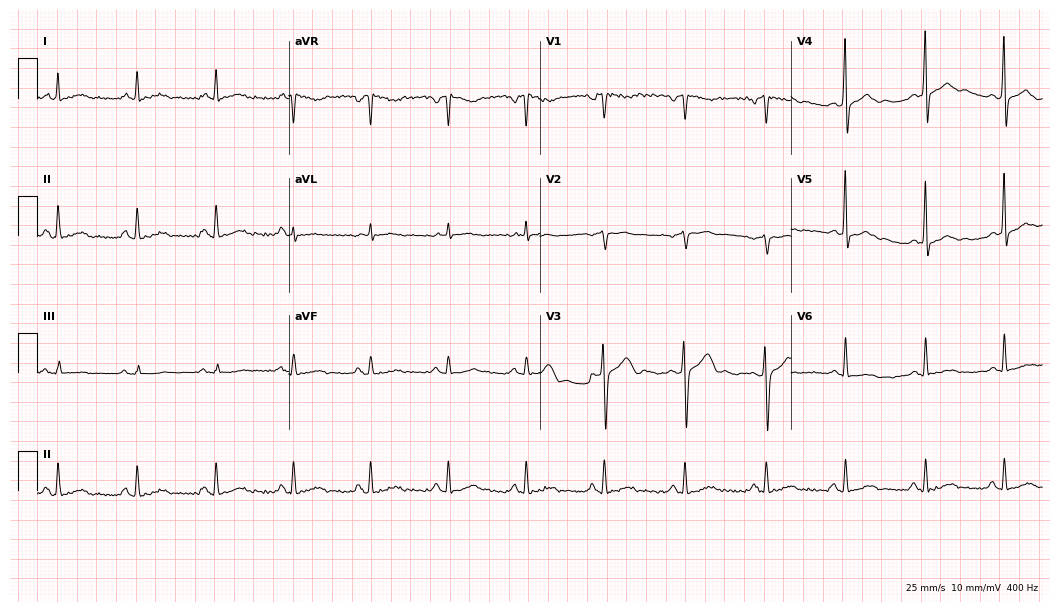
12-lead ECG from a male patient, 67 years old. No first-degree AV block, right bundle branch block, left bundle branch block, sinus bradycardia, atrial fibrillation or sinus tachycardia recorded for this tracing.